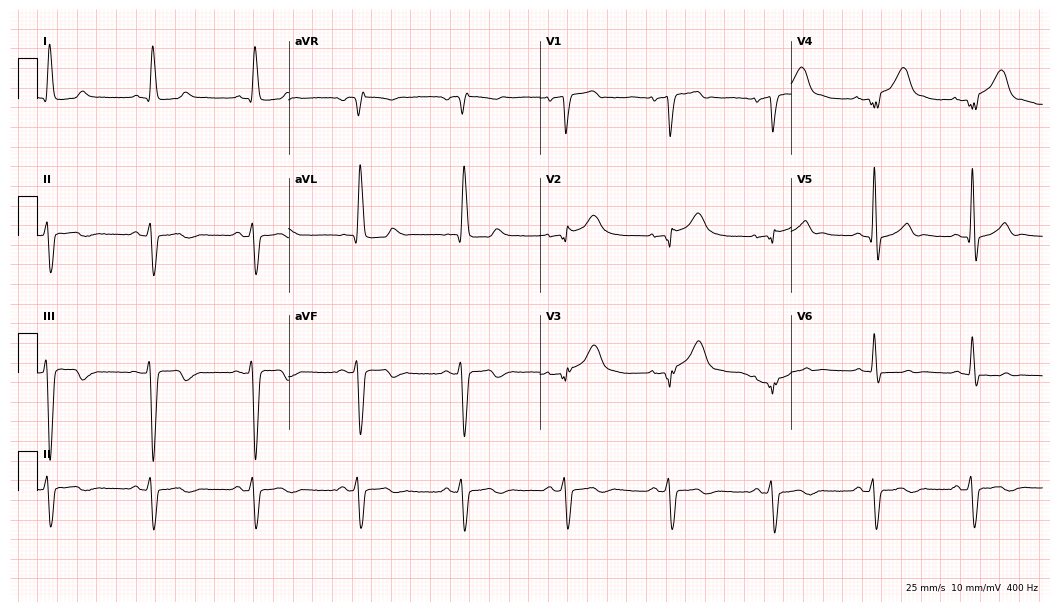
12-lead ECG from a 74-year-old male. No first-degree AV block, right bundle branch block, left bundle branch block, sinus bradycardia, atrial fibrillation or sinus tachycardia recorded for this tracing.